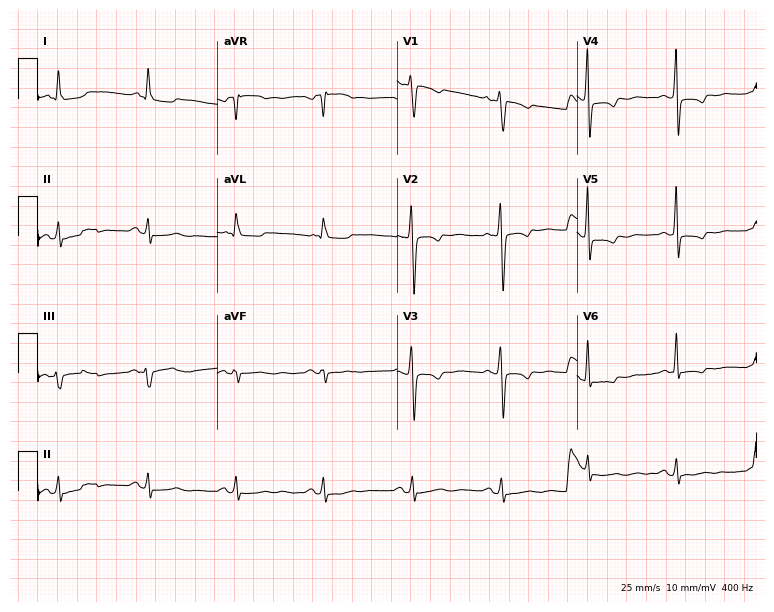
12-lead ECG from a female, 53 years old. No first-degree AV block, right bundle branch block, left bundle branch block, sinus bradycardia, atrial fibrillation or sinus tachycardia recorded for this tracing.